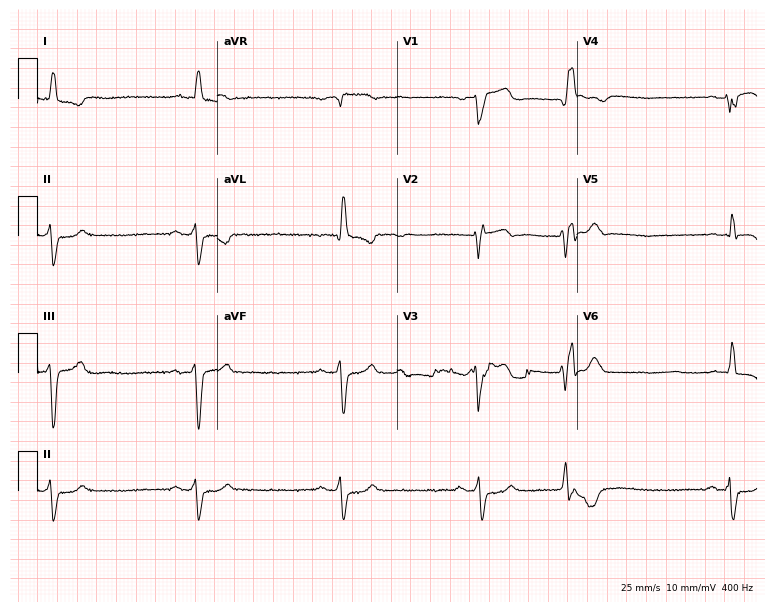
12-lead ECG from a male patient, 85 years old (7.3-second recording at 400 Hz). Shows sinus bradycardia (a sinus rate of 50 beats per minute or less).